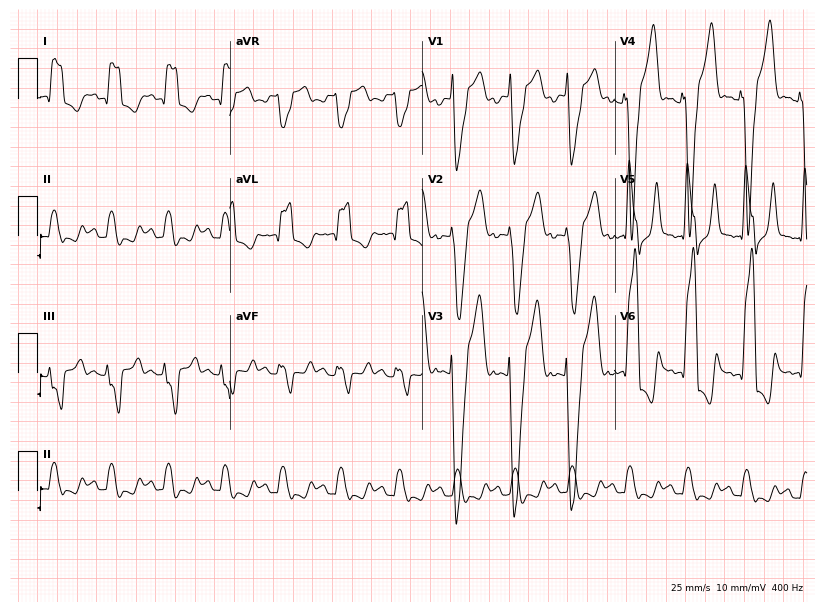
Resting 12-lead electrocardiogram (7.8-second recording at 400 Hz). Patient: a 17-year-old male. The tracing shows left bundle branch block (LBBB), sinus tachycardia (a sinus rate of 100 beats per minute or more).